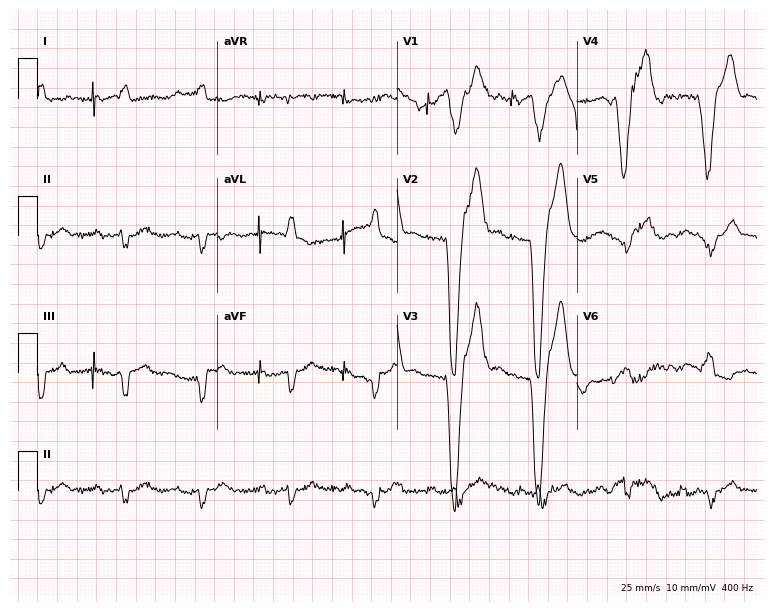
ECG (7.3-second recording at 400 Hz) — a male patient, 86 years old. Screened for six findings — first-degree AV block, right bundle branch block, left bundle branch block, sinus bradycardia, atrial fibrillation, sinus tachycardia — none is recorded. Other findings, if any, are not listed.